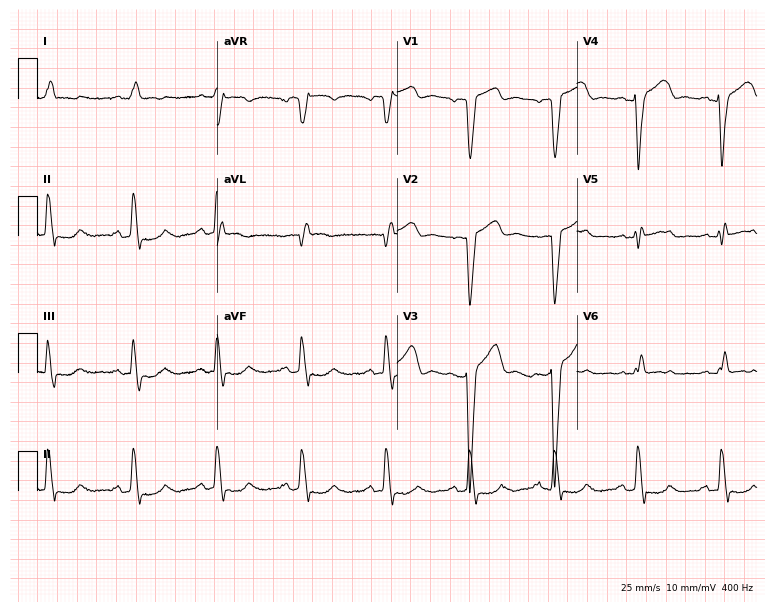
12-lead ECG from a 71-year-old man (7.3-second recording at 400 Hz). Shows left bundle branch block.